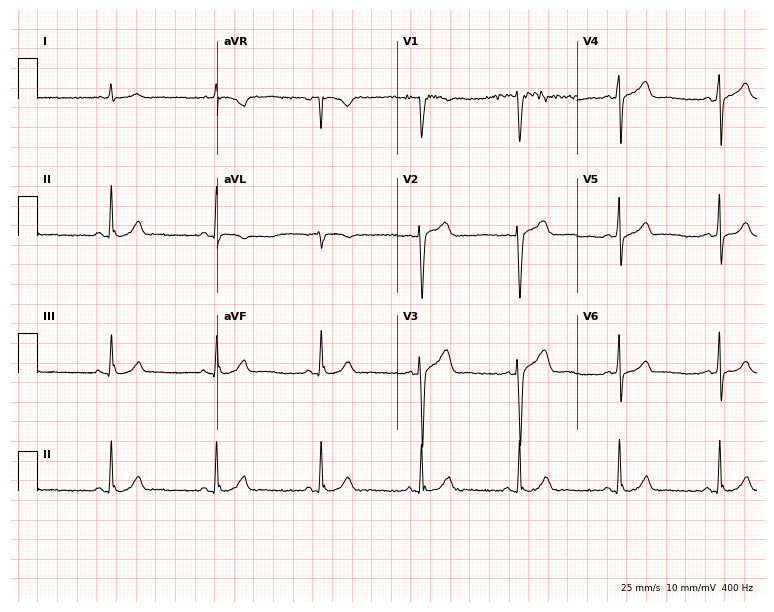
12-lead ECG (7.3-second recording at 400 Hz) from a male patient, 60 years old. Labelled as a normal ECG.